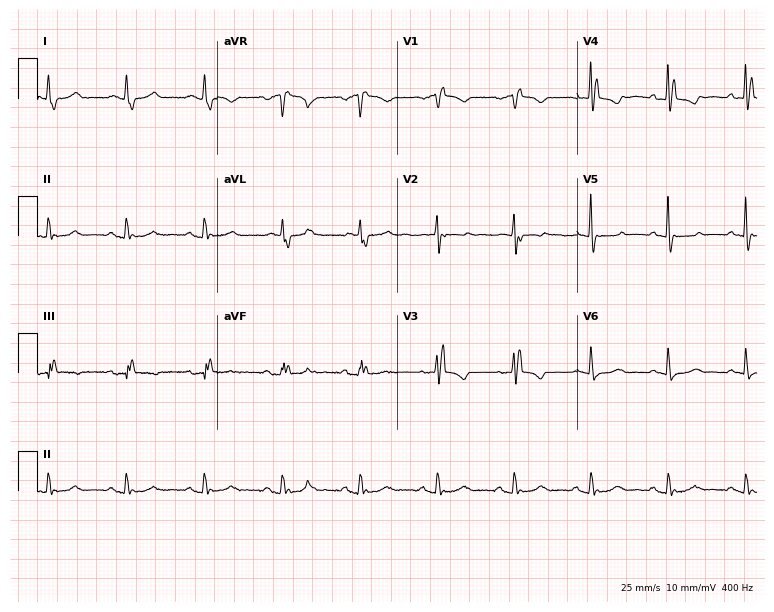
Standard 12-lead ECG recorded from a 76-year-old woman (7.3-second recording at 400 Hz). The tracing shows right bundle branch block.